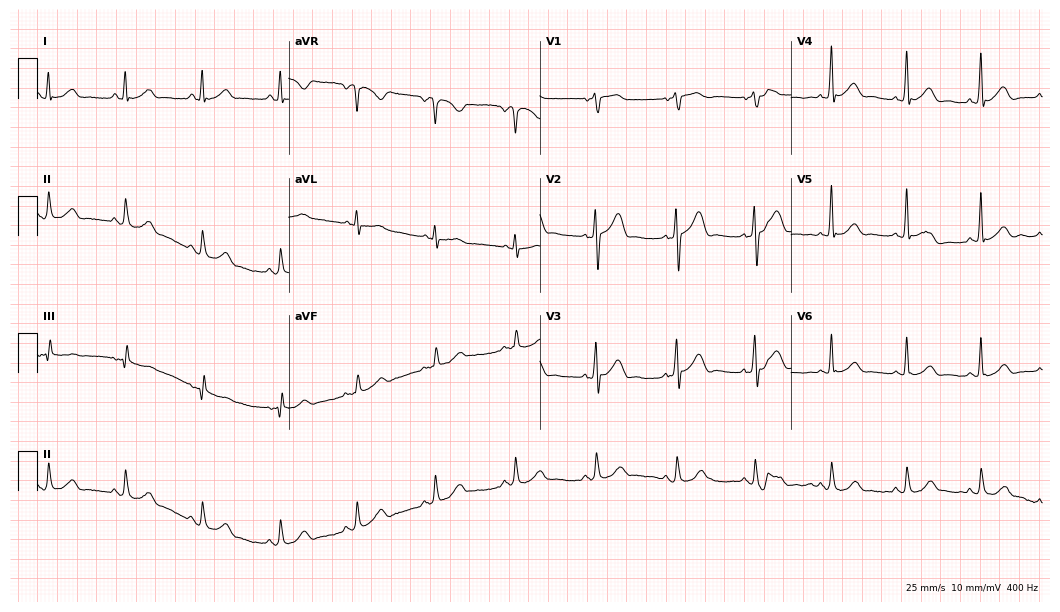
Resting 12-lead electrocardiogram (10.2-second recording at 400 Hz). Patient: a male, 50 years old. Read as a normal ECG.